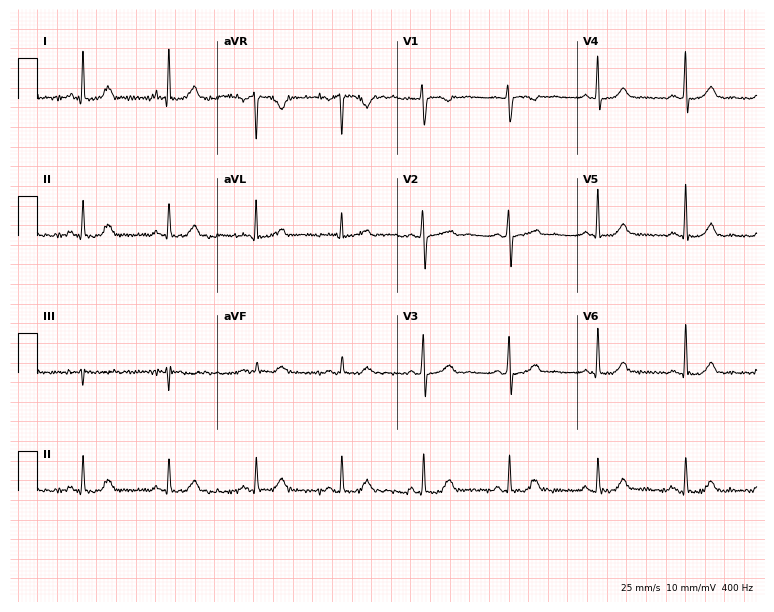
Resting 12-lead electrocardiogram. Patient: a 58-year-old woman. Read as a normal ECG.